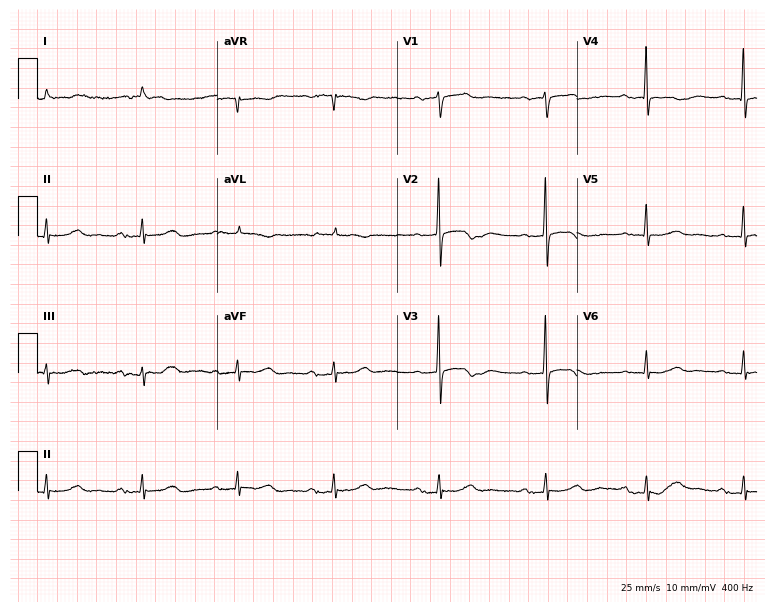
ECG — a 28-year-old woman. Findings include first-degree AV block.